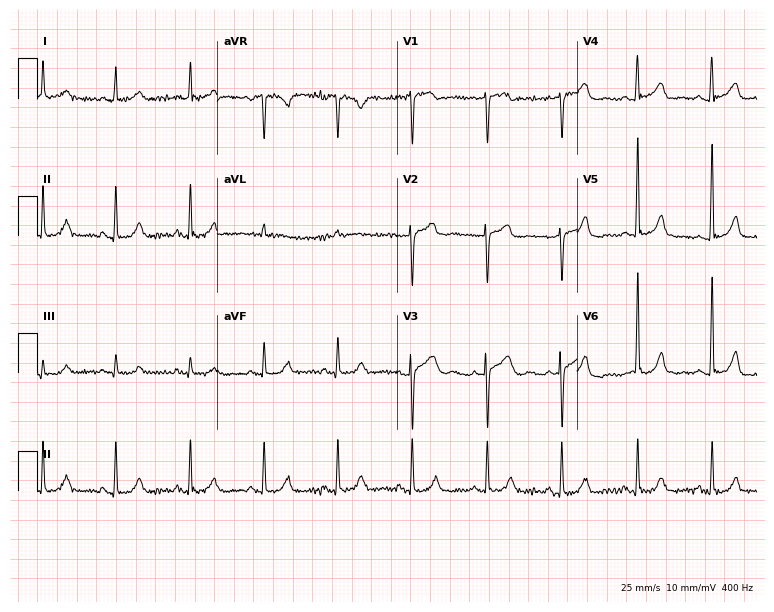
Electrocardiogram, an 83-year-old female. Overall reading on record: normal ECG.